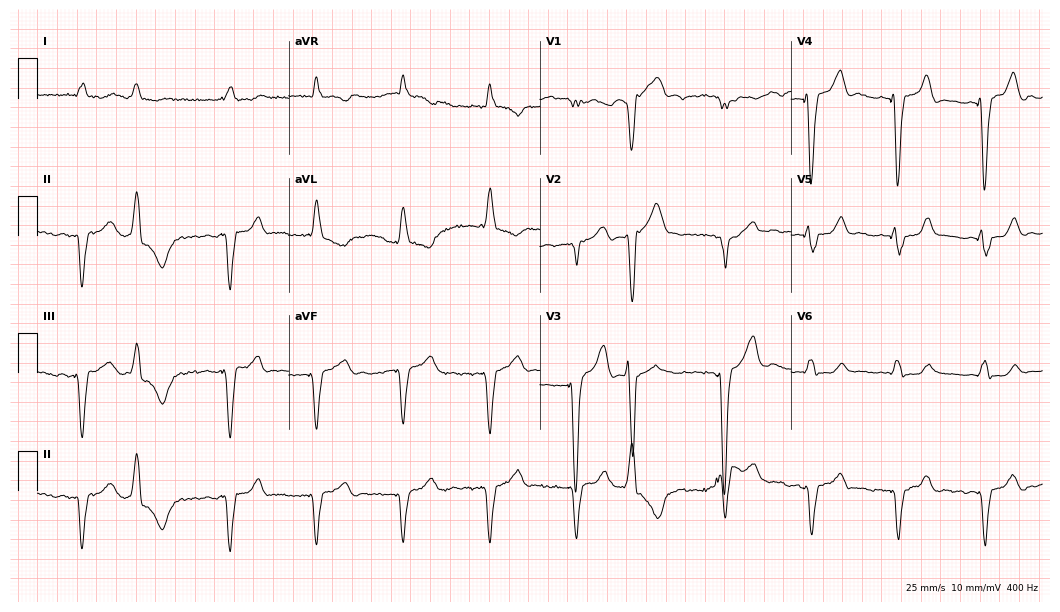
Standard 12-lead ECG recorded from an 84-year-old male patient. The tracing shows left bundle branch block, atrial fibrillation.